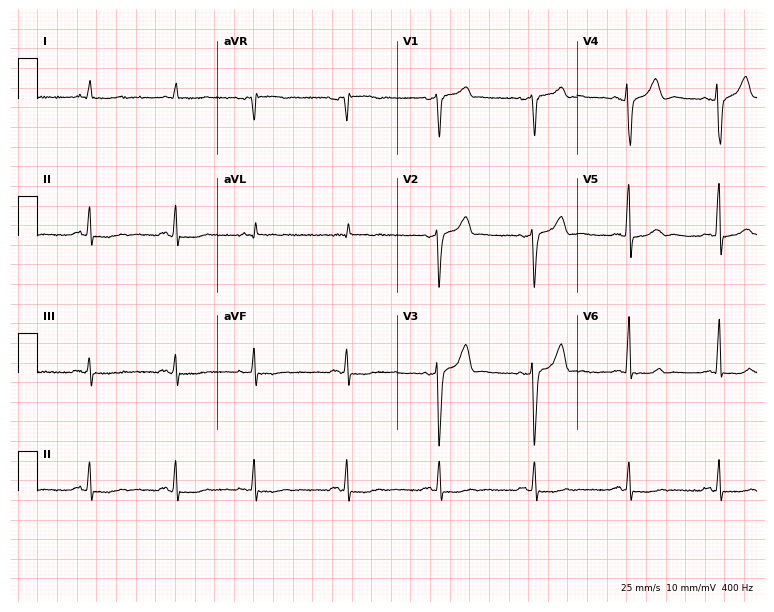
Resting 12-lead electrocardiogram (7.3-second recording at 400 Hz). Patient: a 55-year-old male. None of these six findings is recorded: first-degree AV block, right bundle branch block, left bundle branch block, sinus bradycardia, atrial fibrillation, sinus tachycardia. Only these six findings were labelled.